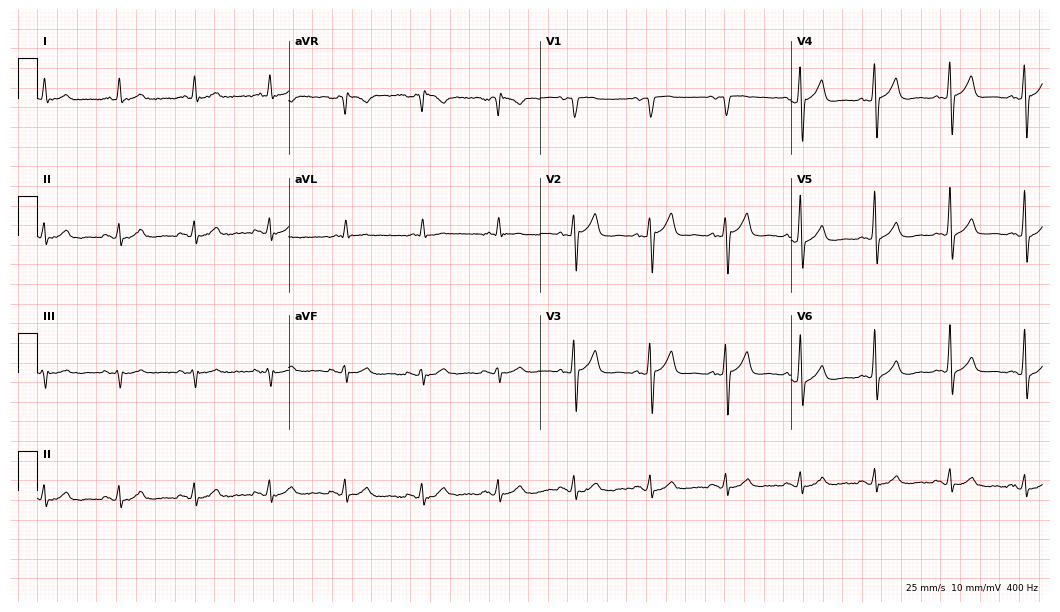
Electrocardiogram, a 62-year-old male patient. Overall reading on record: normal ECG.